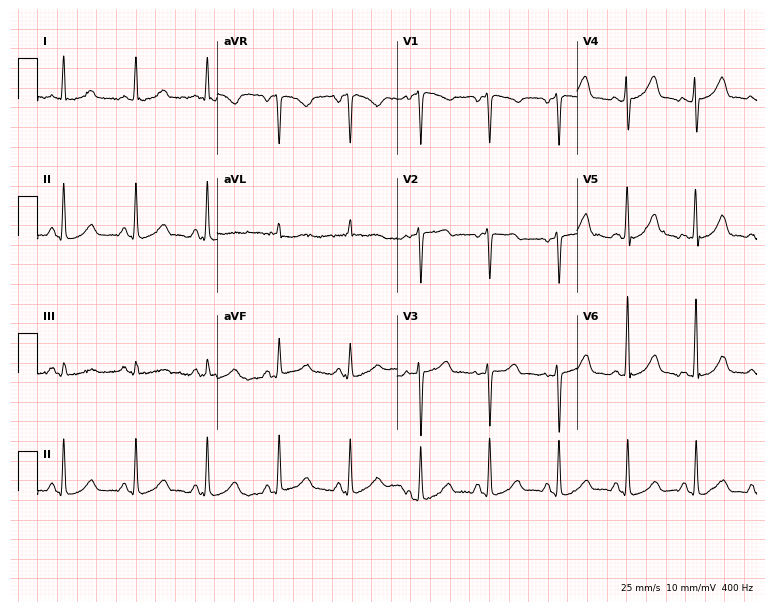
Resting 12-lead electrocardiogram. Patient: a 61-year-old woman. Read as a normal ECG.